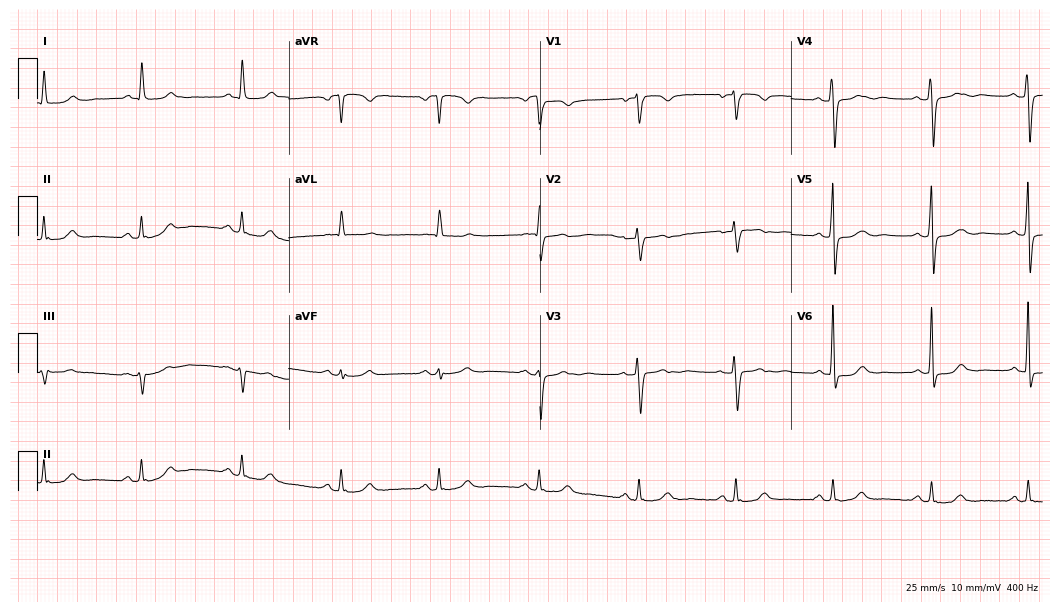
Electrocardiogram, a 75-year-old female. Overall reading on record: normal ECG.